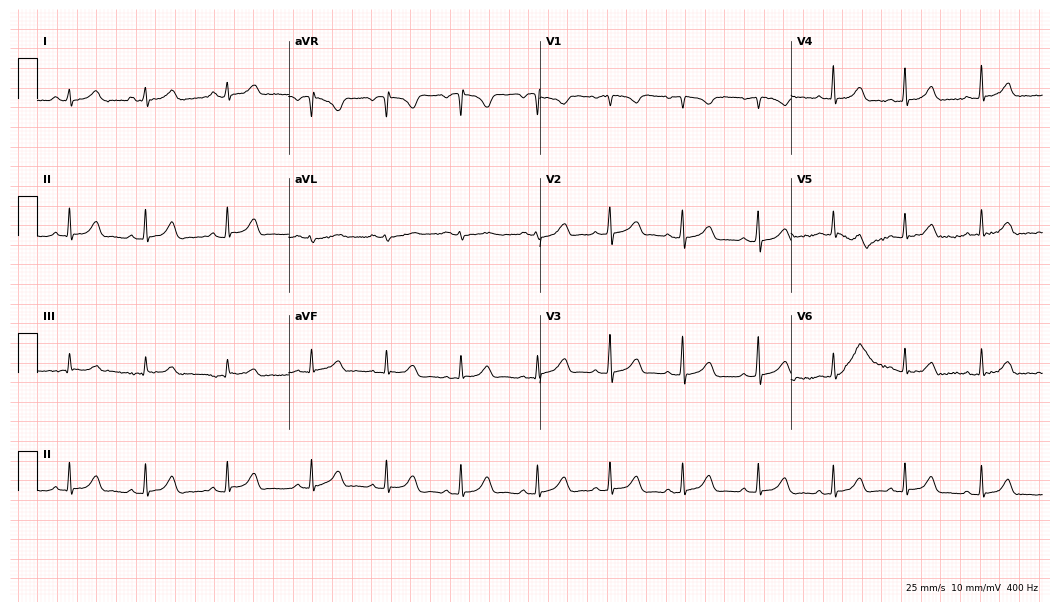
Electrocardiogram, a 20-year-old female patient. Overall reading on record: normal ECG.